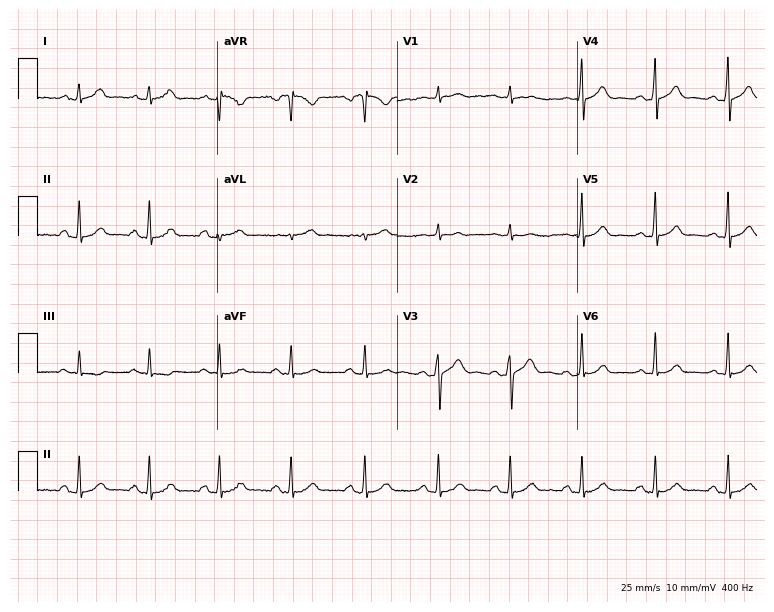
ECG (7.3-second recording at 400 Hz) — a 33-year-old male patient. Labelled as a normal ECG.